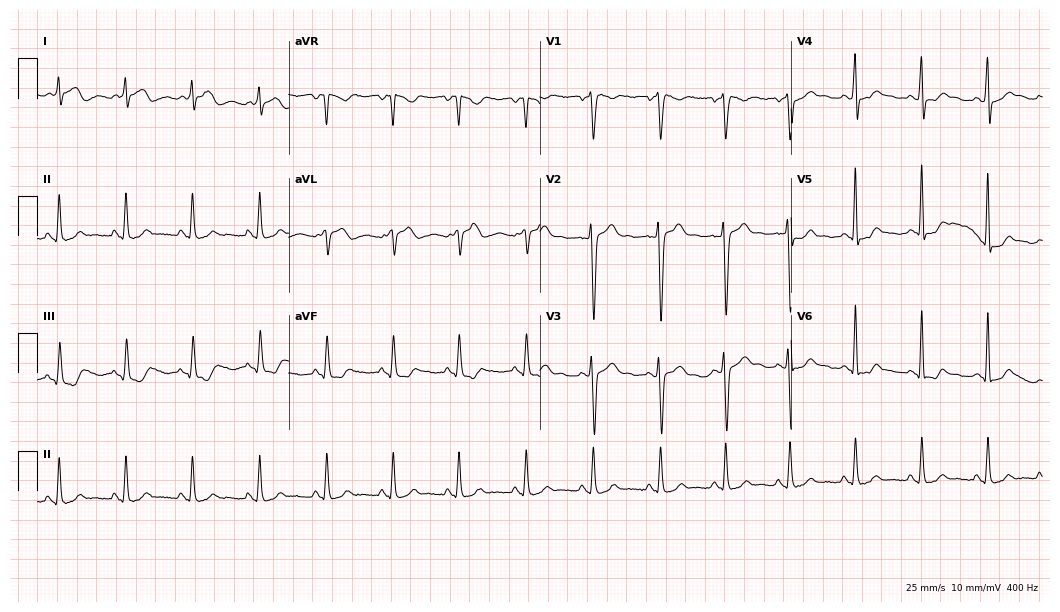
Electrocardiogram (10.2-second recording at 400 Hz), a 32-year-old male. Overall reading on record: normal ECG.